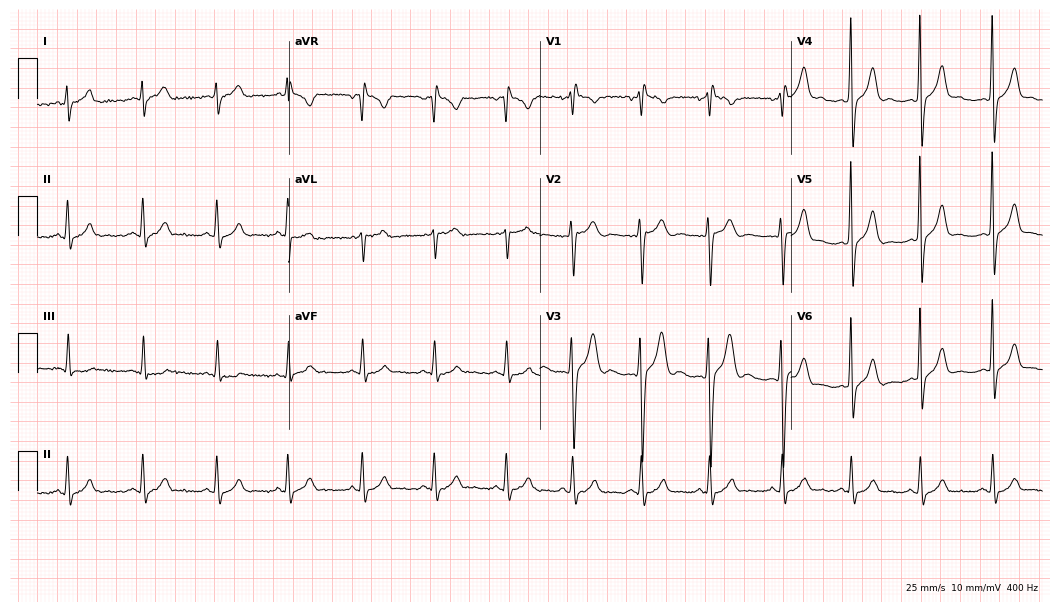
12-lead ECG from a 17-year-old male. Recorded interpretation: within normal limits.